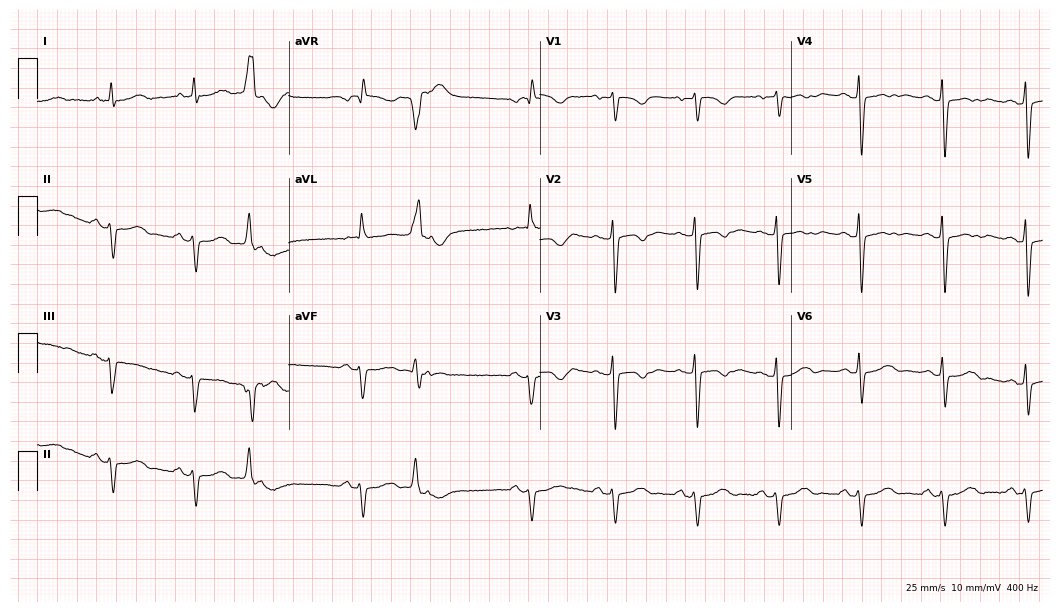
12-lead ECG (10.2-second recording at 400 Hz) from a female, 76 years old. Screened for six findings — first-degree AV block, right bundle branch block, left bundle branch block, sinus bradycardia, atrial fibrillation, sinus tachycardia — none is recorded. Other findings, if any, are not listed.